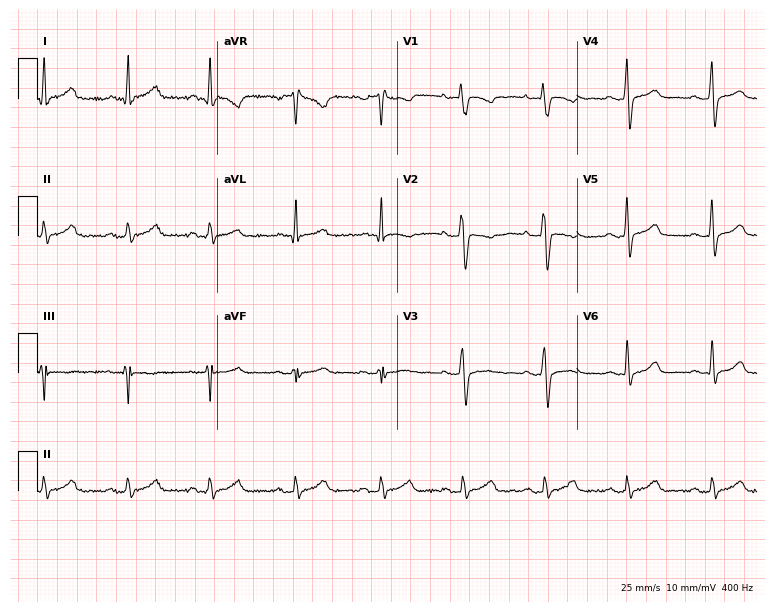
Electrocardiogram (7.3-second recording at 400 Hz), a female patient, 39 years old. Overall reading on record: normal ECG.